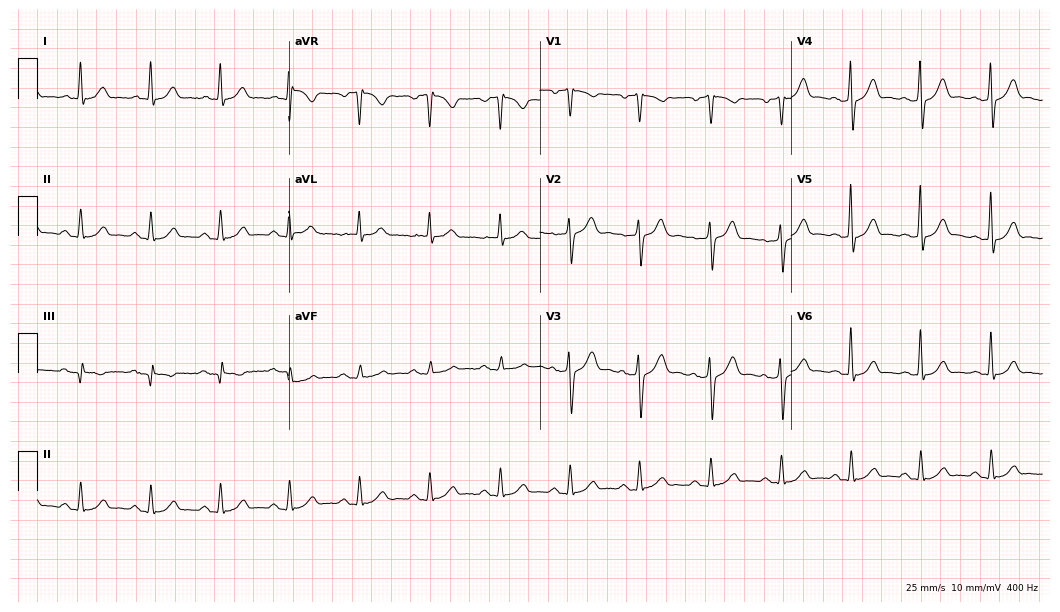
Standard 12-lead ECG recorded from a man, 66 years old (10.2-second recording at 400 Hz). Read as a normal ECG.